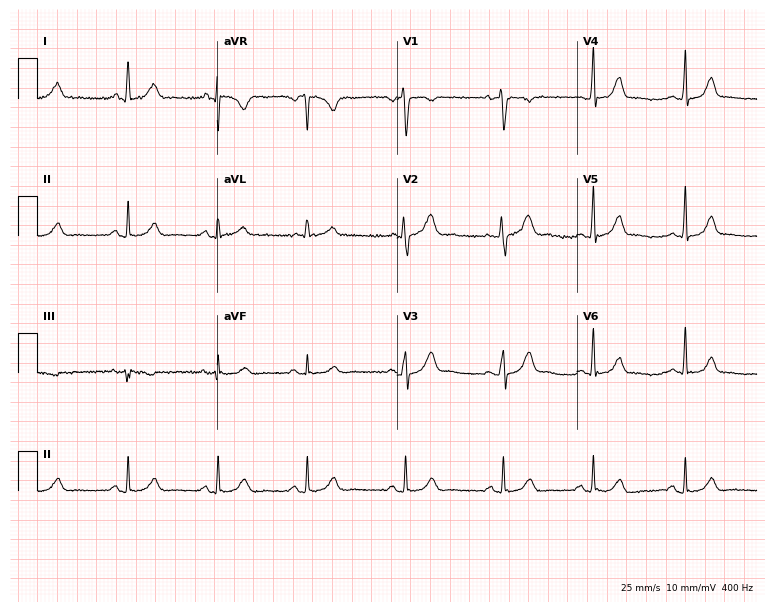
12-lead ECG from a 29-year-old woman. Labelled as a normal ECG.